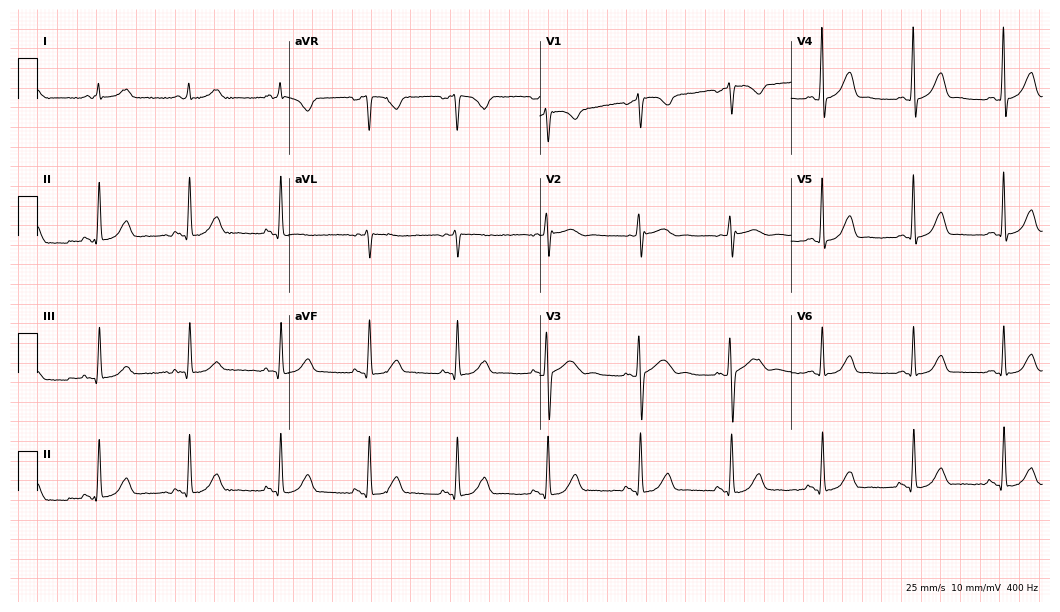
Resting 12-lead electrocardiogram (10.2-second recording at 400 Hz). Patient: a 46-year-old female. None of these six findings is recorded: first-degree AV block, right bundle branch block (RBBB), left bundle branch block (LBBB), sinus bradycardia, atrial fibrillation (AF), sinus tachycardia. Only these six findings were labelled.